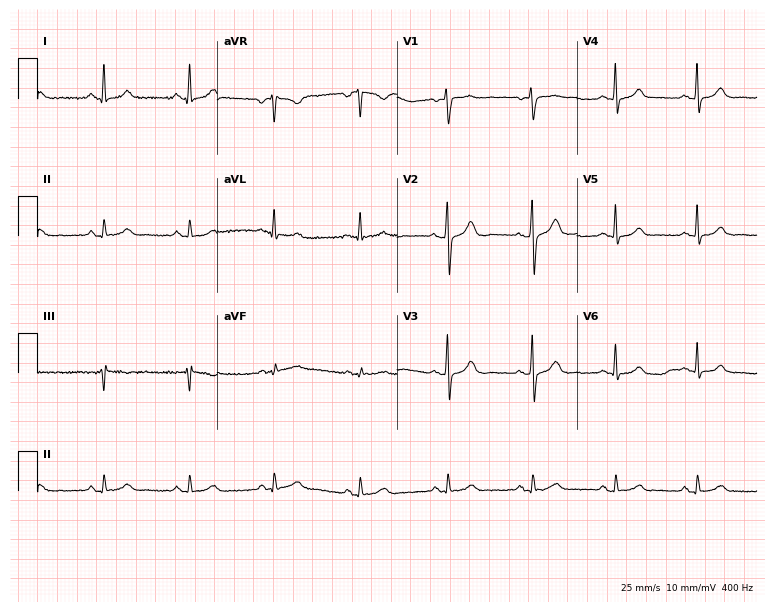
Standard 12-lead ECG recorded from a 40-year-old female patient. None of these six findings is recorded: first-degree AV block, right bundle branch block, left bundle branch block, sinus bradycardia, atrial fibrillation, sinus tachycardia. Other findings, if any, are not listed.